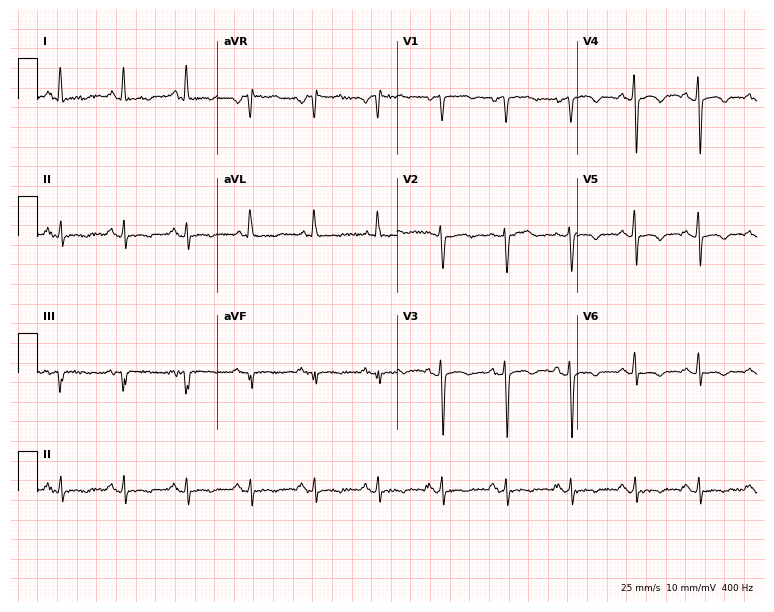
12-lead ECG (7.3-second recording at 400 Hz) from a female, 82 years old. Screened for six findings — first-degree AV block, right bundle branch block, left bundle branch block, sinus bradycardia, atrial fibrillation, sinus tachycardia — none is recorded. Other findings, if any, are not listed.